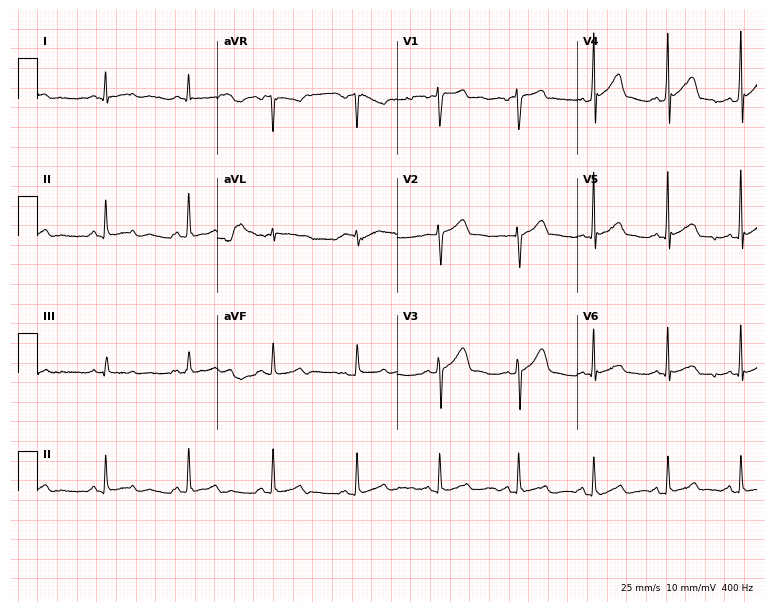
12-lead ECG (7.3-second recording at 400 Hz) from a male, 34 years old. Labelled as a normal ECG.